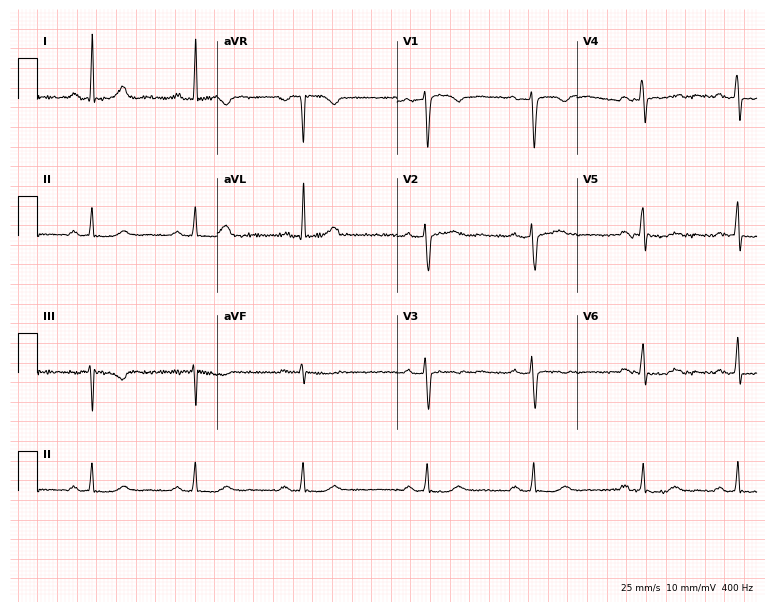
Electrocardiogram, a female patient, 42 years old. Of the six screened findings (first-degree AV block, right bundle branch block, left bundle branch block, sinus bradycardia, atrial fibrillation, sinus tachycardia), none is recorded. Findings outside these six are not listed.